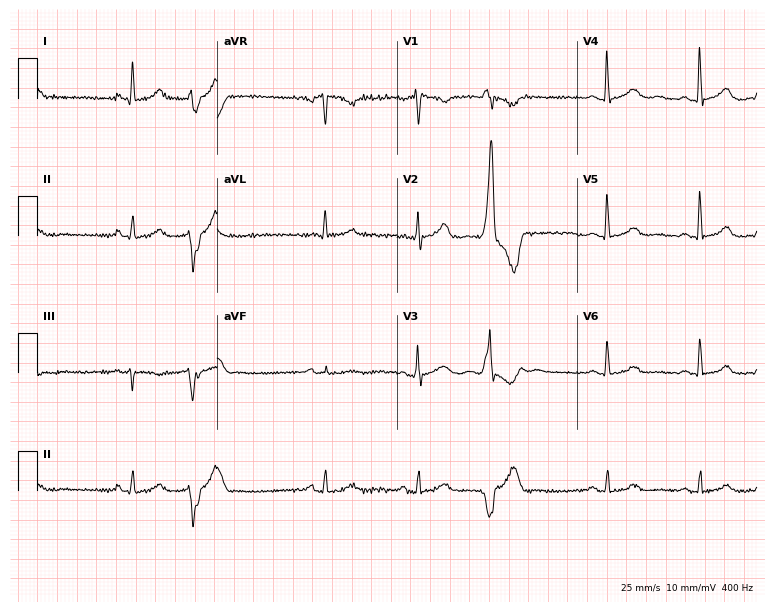
Electrocardiogram (7.3-second recording at 400 Hz), a female, 55 years old. Of the six screened findings (first-degree AV block, right bundle branch block, left bundle branch block, sinus bradycardia, atrial fibrillation, sinus tachycardia), none is recorded. Only these six findings were labelled.